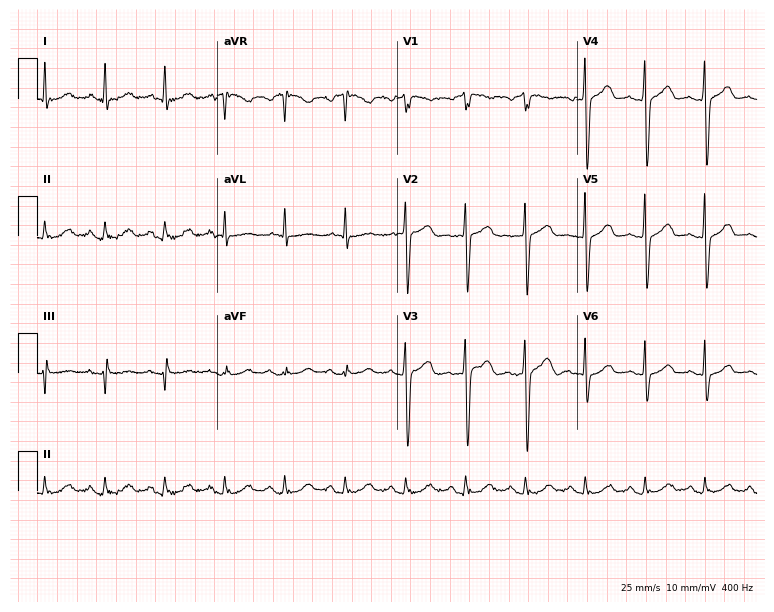
Standard 12-lead ECG recorded from a 65-year-old male (7.3-second recording at 400 Hz). None of these six findings is recorded: first-degree AV block, right bundle branch block (RBBB), left bundle branch block (LBBB), sinus bradycardia, atrial fibrillation (AF), sinus tachycardia. Only these six findings were labelled.